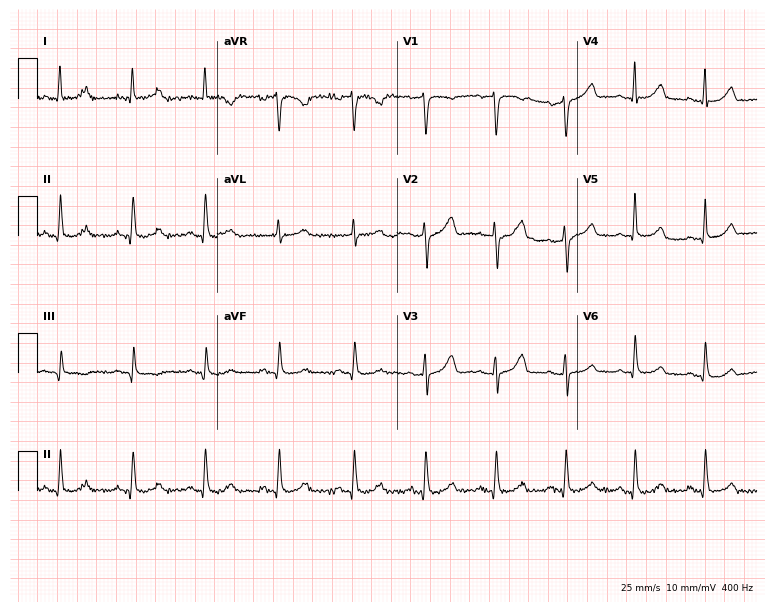
12-lead ECG from a 48-year-old woman. No first-degree AV block, right bundle branch block, left bundle branch block, sinus bradycardia, atrial fibrillation or sinus tachycardia recorded for this tracing. Findings outside these six are not listed.